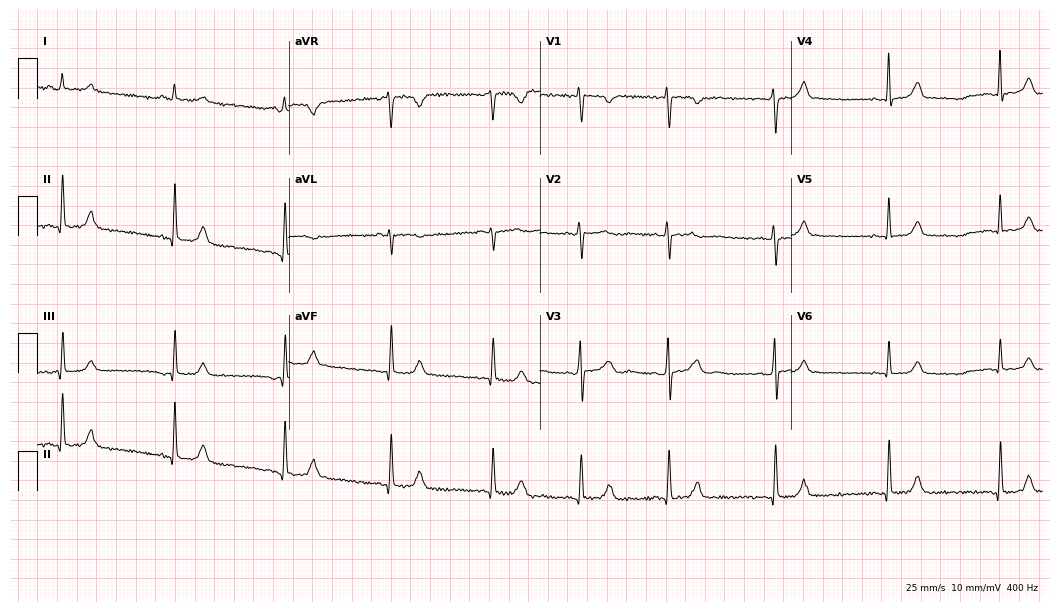
12-lead ECG from a 20-year-old woman. Labelled as a normal ECG.